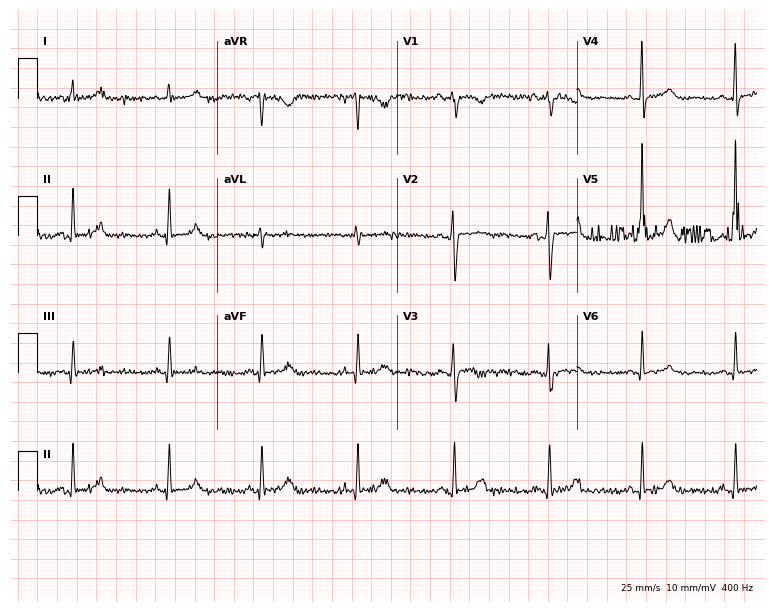
12-lead ECG from a 41-year-old female. Labelled as a normal ECG.